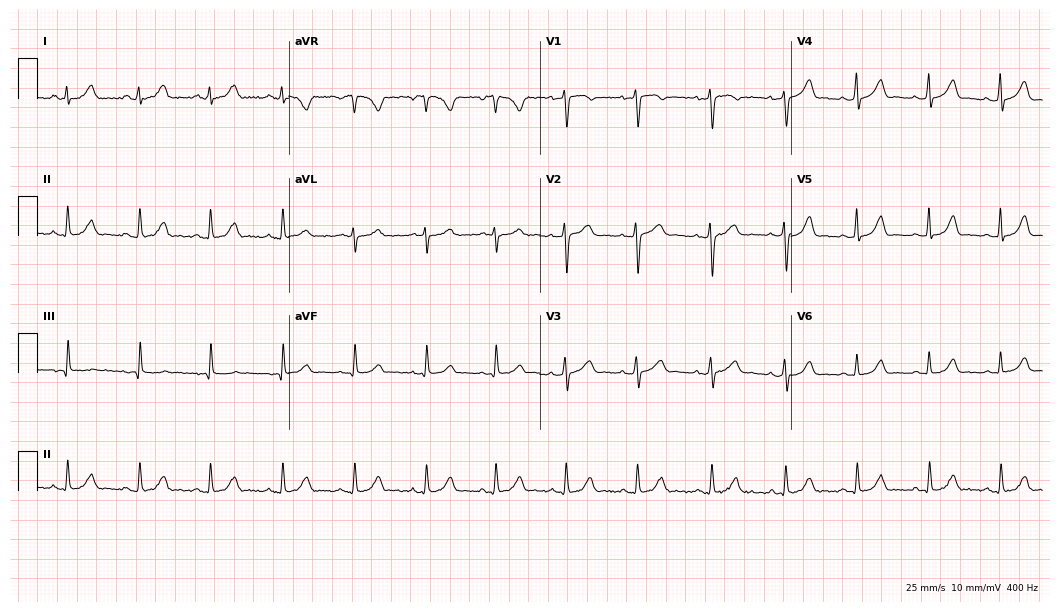
12-lead ECG (10.2-second recording at 400 Hz) from a woman, 28 years old. Labelled as a normal ECG.